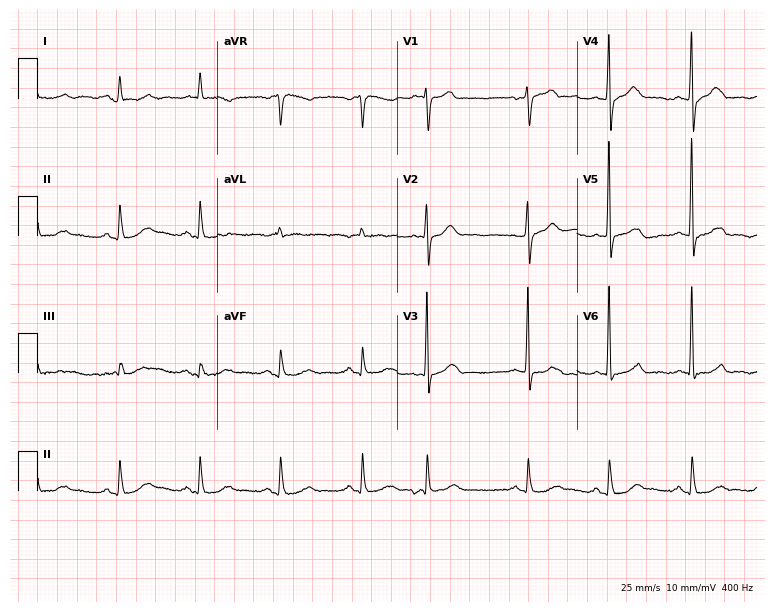
12-lead ECG (7.3-second recording at 400 Hz) from a male patient, 82 years old. Labelled as a normal ECG.